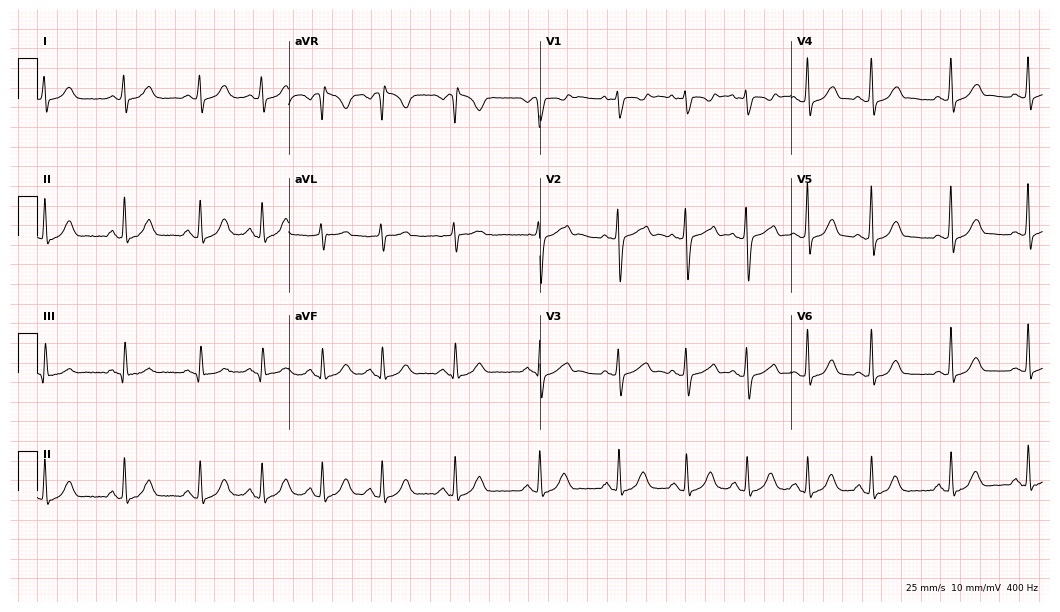
Standard 12-lead ECG recorded from an 18-year-old woman. Read as a normal ECG.